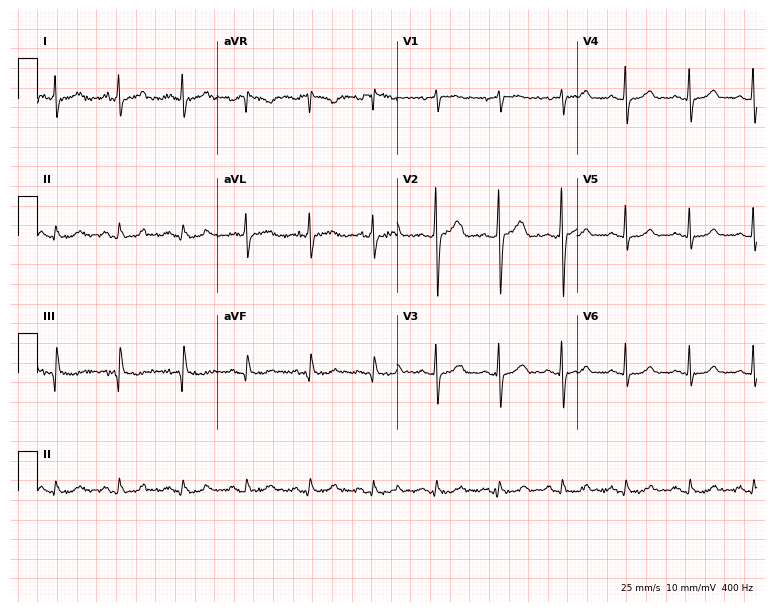
Resting 12-lead electrocardiogram (7.3-second recording at 400 Hz). Patient: a woman, 80 years old. Read as a normal ECG.